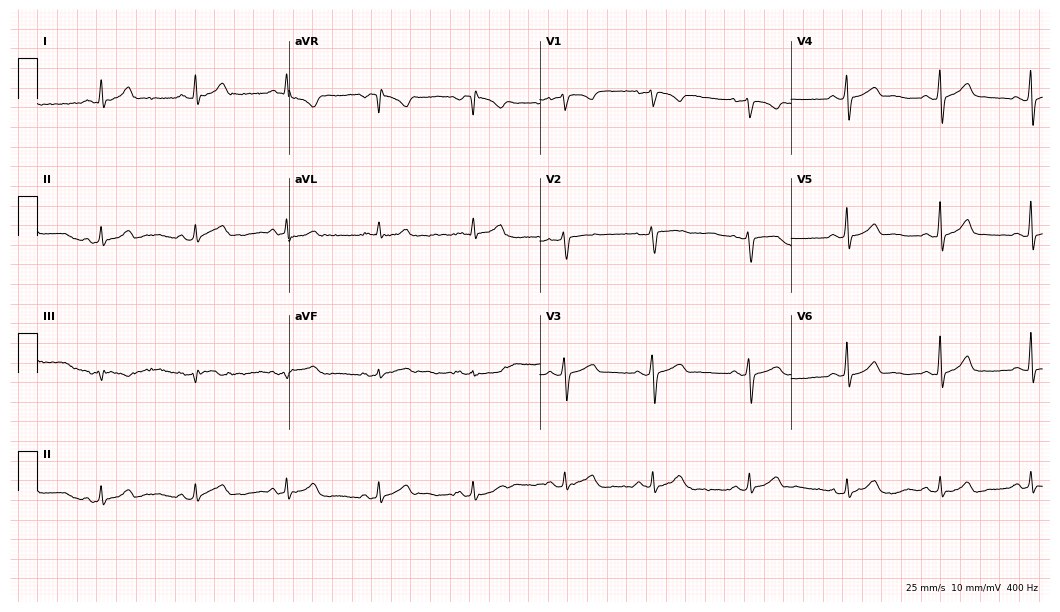
Standard 12-lead ECG recorded from a female, 37 years old (10.2-second recording at 400 Hz). Read as a normal ECG.